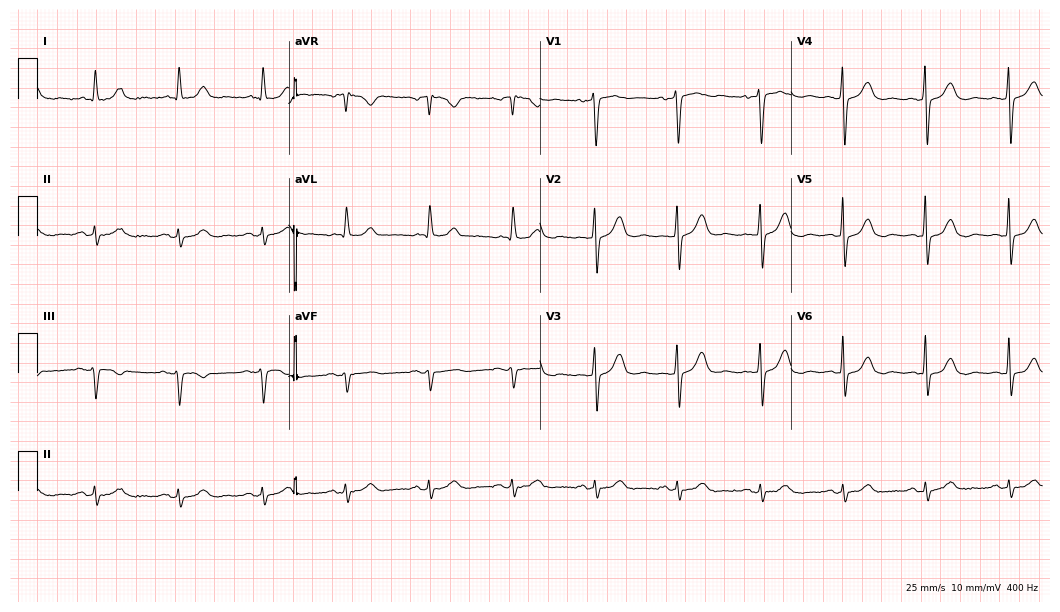
ECG (10.2-second recording at 400 Hz) — a female, 63 years old. Labelled as a normal ECG.